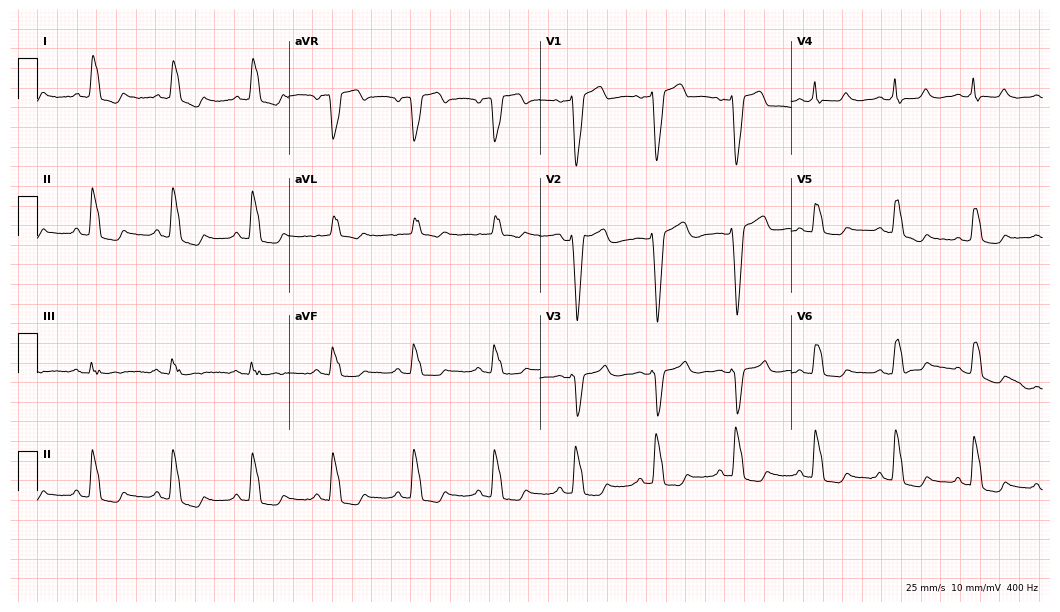
Electrocardiogram, a 68-year-old female patient. Interpretation includes left bundle branch block.